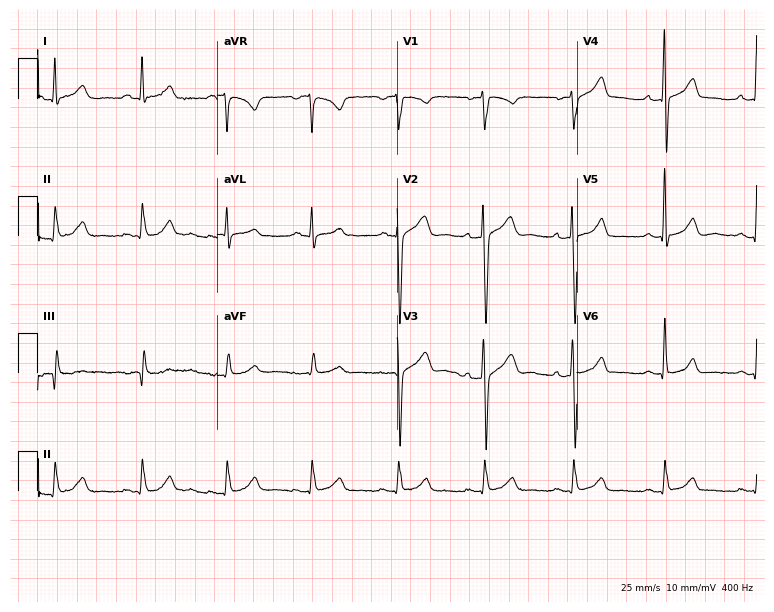
ECG — a male patient, 50 years old. Screened for six findings — first-degree AV block, right bundle branch block, left bundle branch block, sinus bradycardia, atrial fibrillation, sinus tachycardia — none is recorded. Only these six findings were labelled.